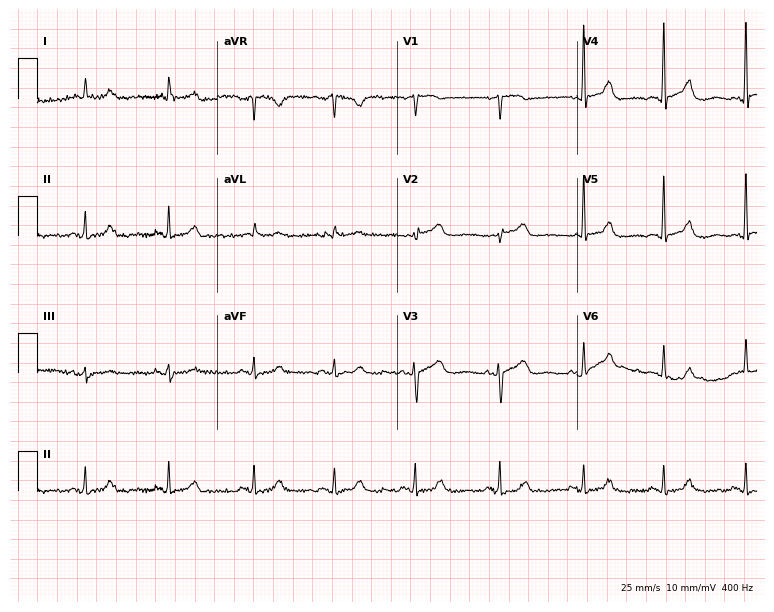
Resting 12-lead electrocardiogram. Patient: a female, 78 years old. Read as a normal ECG.